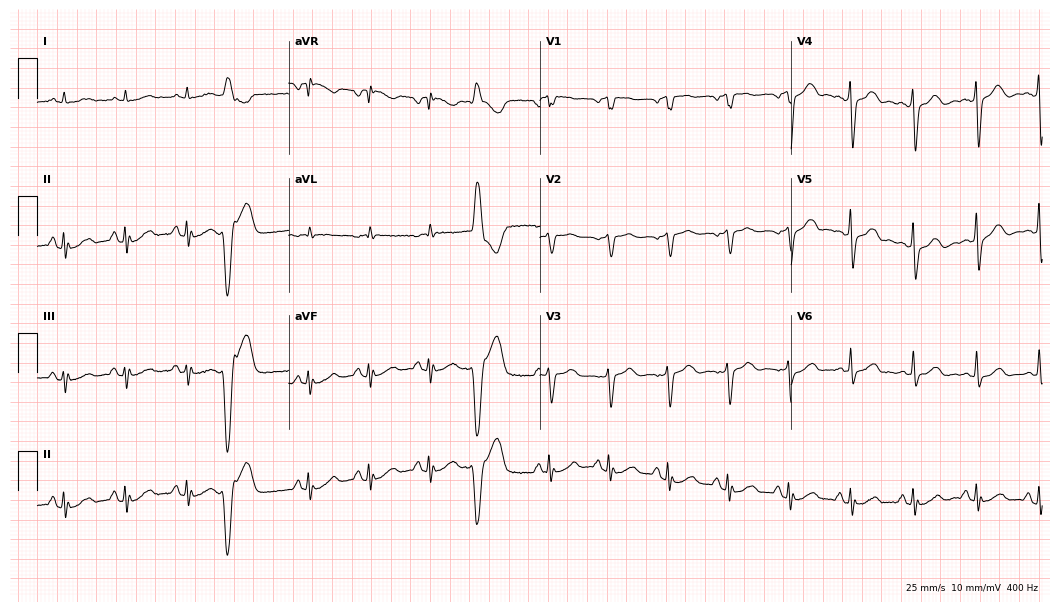
Standard 12-lead ECG recorded from a female patient, 78 years old (10.2-second recording at 400 Hz). None of these six findings is recorded: first-degree AV block, right bundle branch block, left bundle branch block, sinus bradycardia, atrial fibrillation, sinus tachycardia.